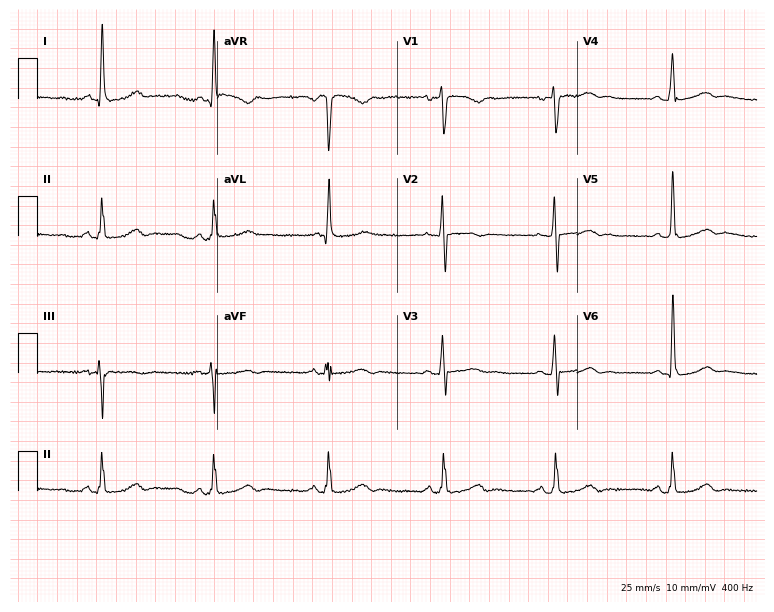
Electrocardiogram, a 56-year-old woman. Of the six screened findings (first-degree AV block, right bundle branch block, left bundle branch block, sinus bradycardia, atrial fibrillation, sinus tachycardia), none is recorded.